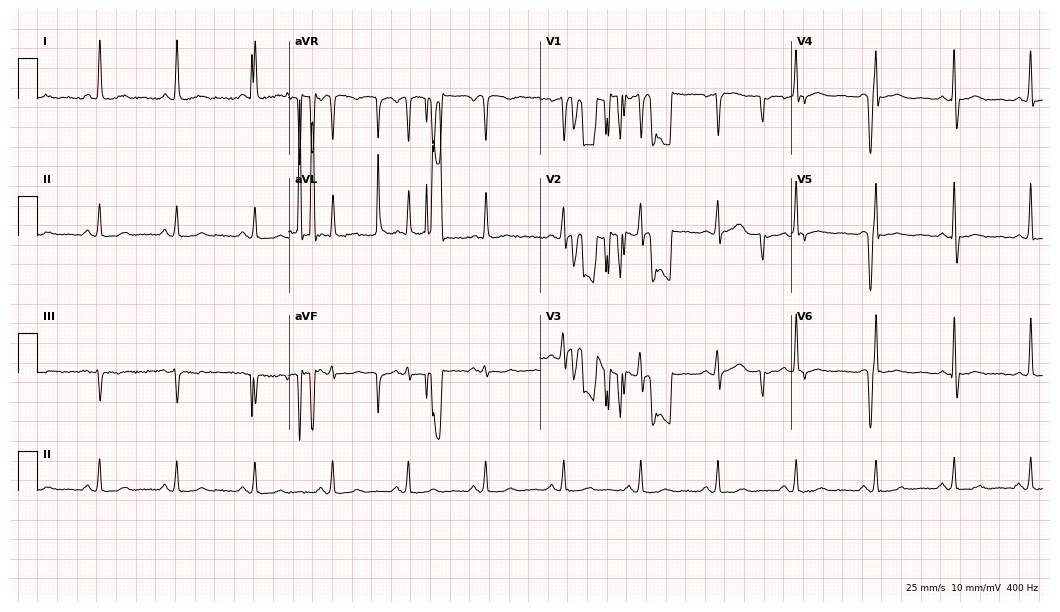
Standard 12-lead ECG recorded from a 44-year-old female. None of these six findings is recorded: first-degree AV block, right bundle branch block, left bundle branch block, sinus bradycardia, atrial fibrillation, sinus tachycardia. Other findings, if any, are not listed.